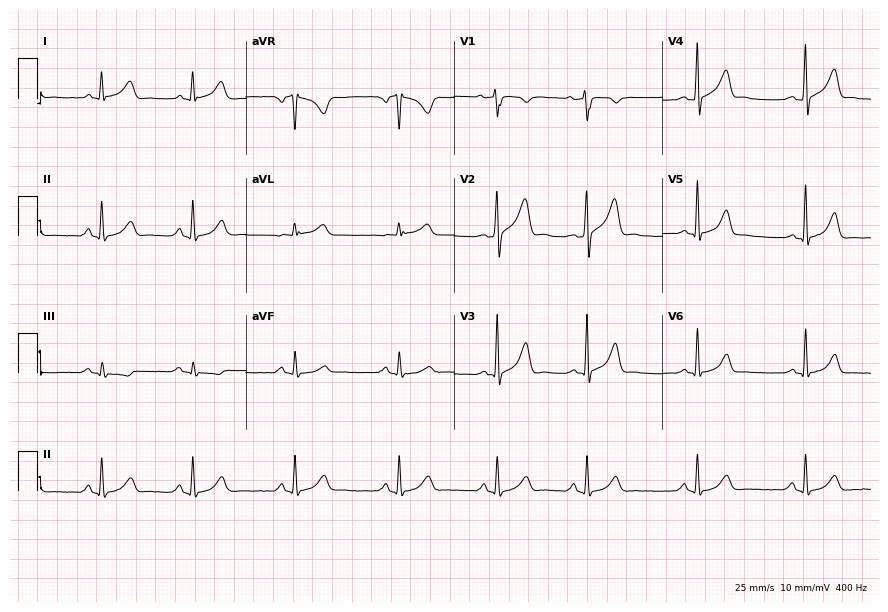
Resting 12-lead electrocardiogram. Patient: a 42-year-old man. Read as a normal ECG.